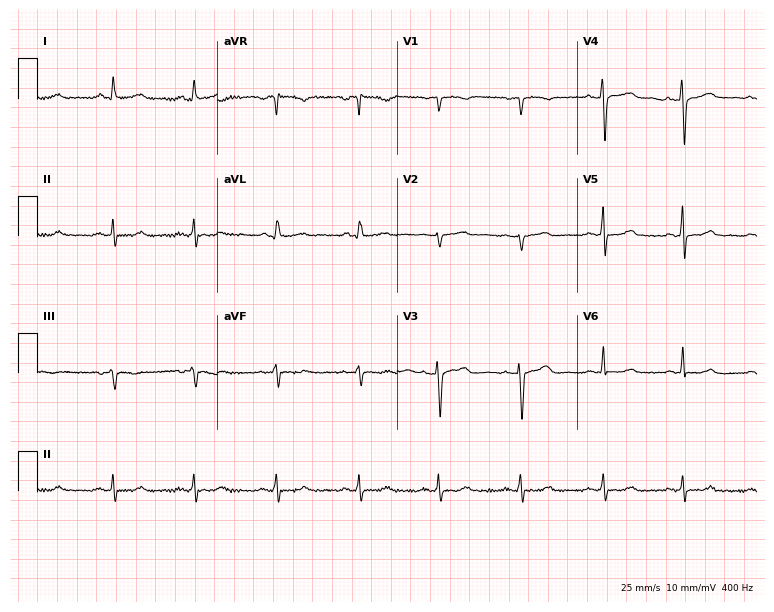
Resting 12-lead electrocardiogram. Patient: a 35-year-old woman. None of these six findings is recorded: first-degree AV block, right bundle branch block, left bundle branch block, sinus bradycardia, atrial fibrillation, sinus tachycardia.